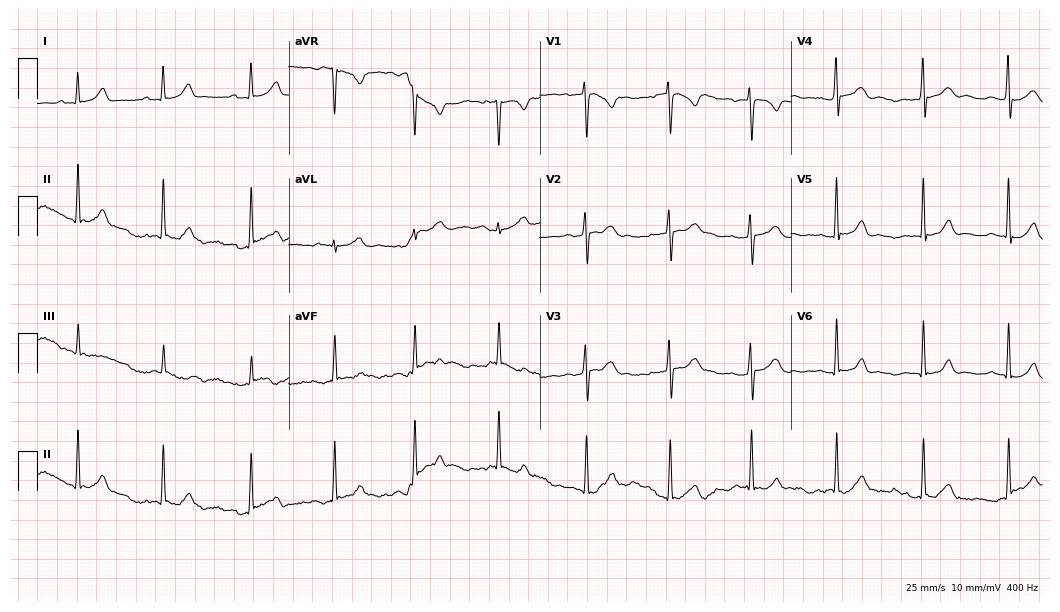
12-lead ECG (10.2-second recording at 400 Hz) from a 23-year-old woman. Screened for six findings — first-degree AV block, right bundle branch block, left bundle branch block, sinus bradycardia, atrial fibrillation, sinus tachycardia — none is recorded.